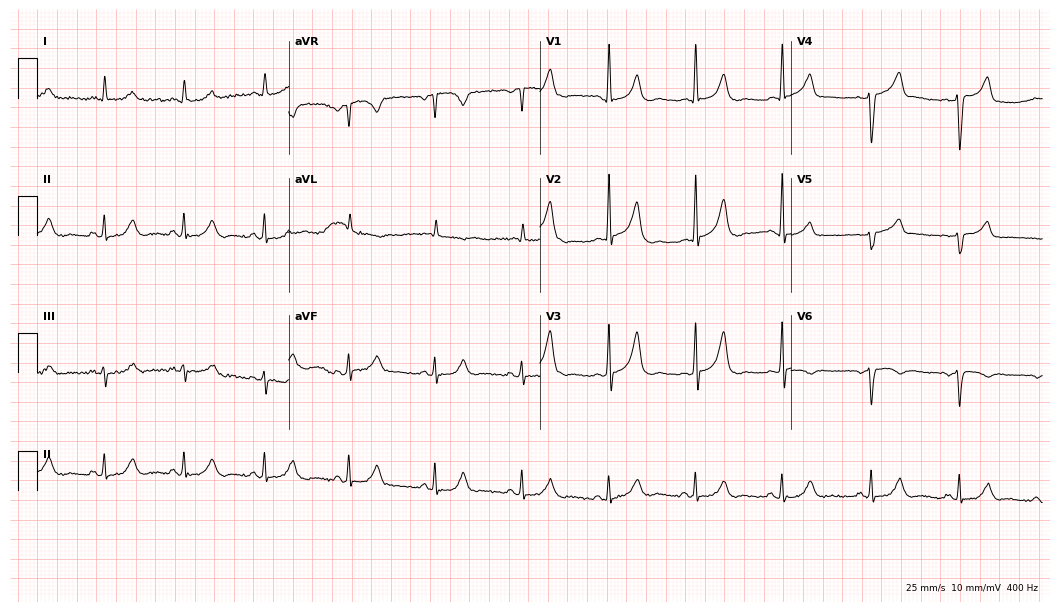
12-lead ECG (10.2-second recording at 400 Hz) from a female patient, 46 years old. Screened for six findings — first-degree AV block, right bundle branch block, left bundle branch block, sinus bradycardia, atrial fibrillation, sinus tachycardia — none is recorded.